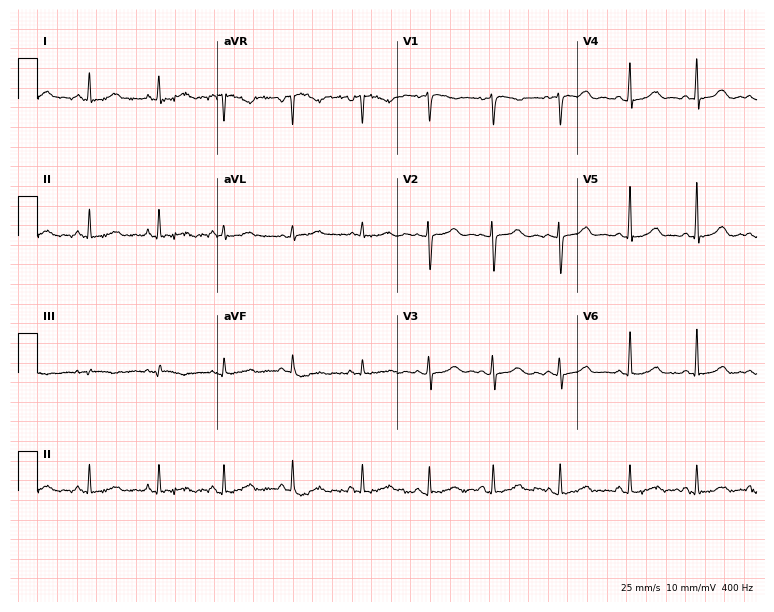
12-lead ECG from a woman, 41 years old. Recorded interpretation: within normal limits.